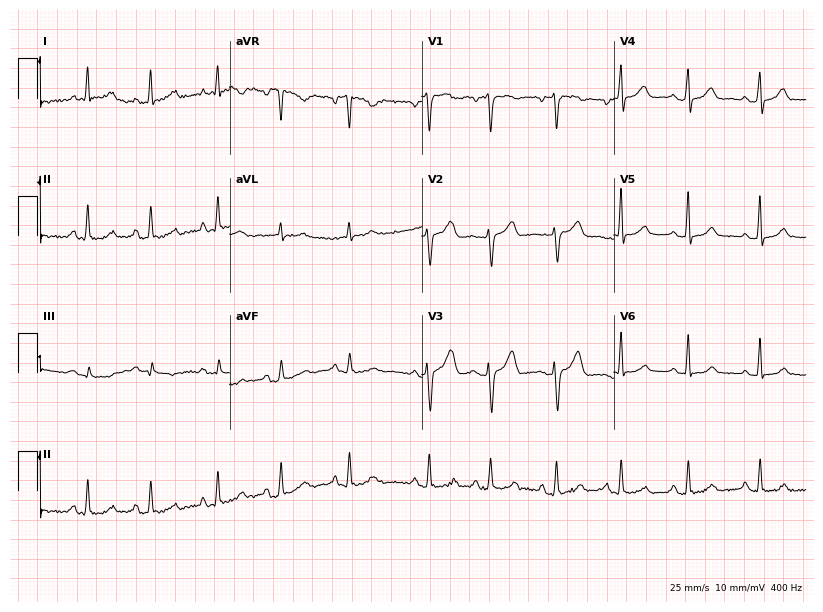
Resting 12-lead electrocardiogram. Patient: a 40-year-old woman. None of these six findings is recorded: first-degree AV block, right bundle branch block, left bundle branch block, sinus bradycardia, atrial fibrillation, sinus tachycardia.